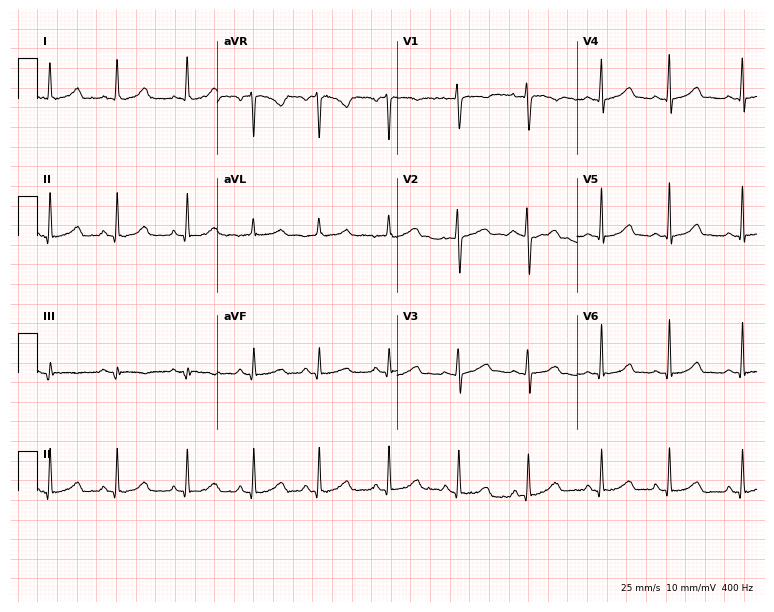
12-lead ECG from a 40-year-old woman. No first-degree AV block, right bundle branch block (RBBB), left bundle branch block (LBBB), sinus bradycardia, atrial fibrillation (AF) or sinus tachycardia recorded for this tracing.